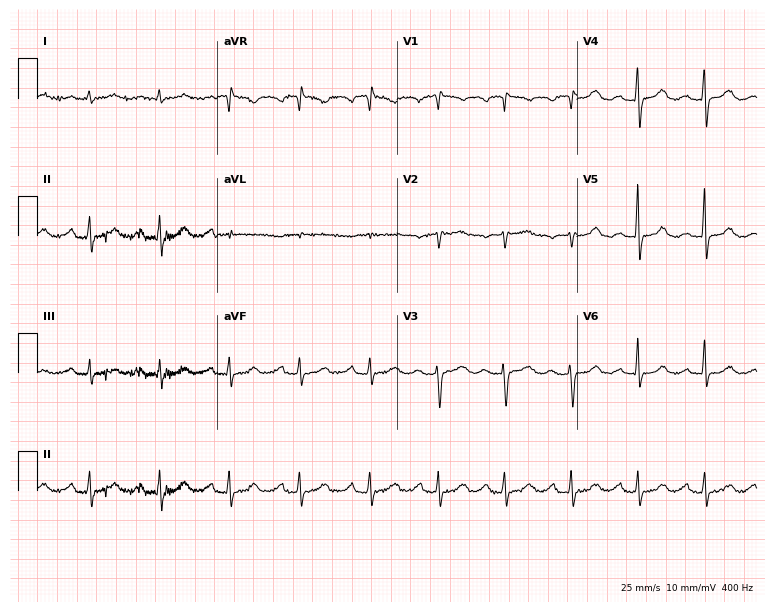
Resting 12-lead electrocardiogram (7.3-second recording at 400 Hz). Patient: a woman, 59 years old. None of these six findings is recorded: first-degree AV block, right bundle branch block, left bundle branch block, sinus bradycardia, atrial fibrillation, sinus tachycardia.